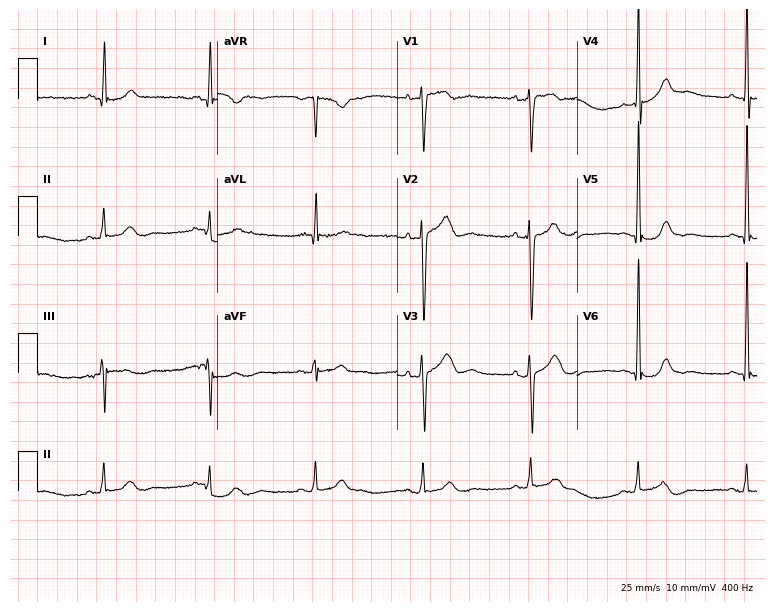
Resting 12-lead electrocardiogram (7.3-second recording at 400 Hz). Patient: a man, 79 years old. Read as a normal ECG.